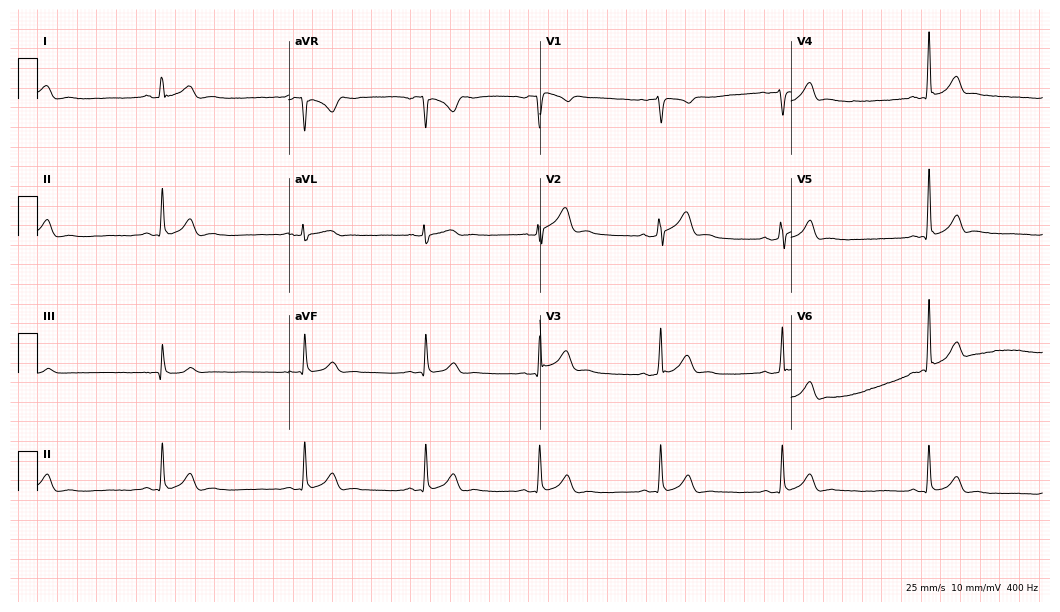
12-lead ECG from a male, 28 years old. No first-degree AV block, right bundle branch block, left bundle branch block, sinus bradycardia, atrial fibrillation or sinus tachycardia recorded for this tracing.